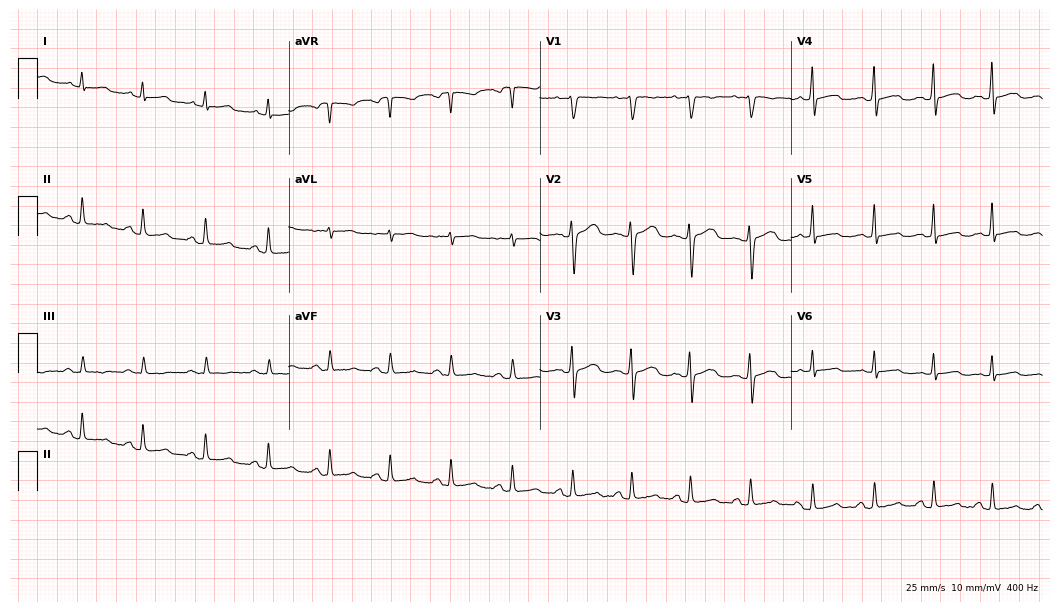
12-lead ECG (10.2-second recording at 400 Hz) from a female, 30 years old. Labelled as a normal ECG.